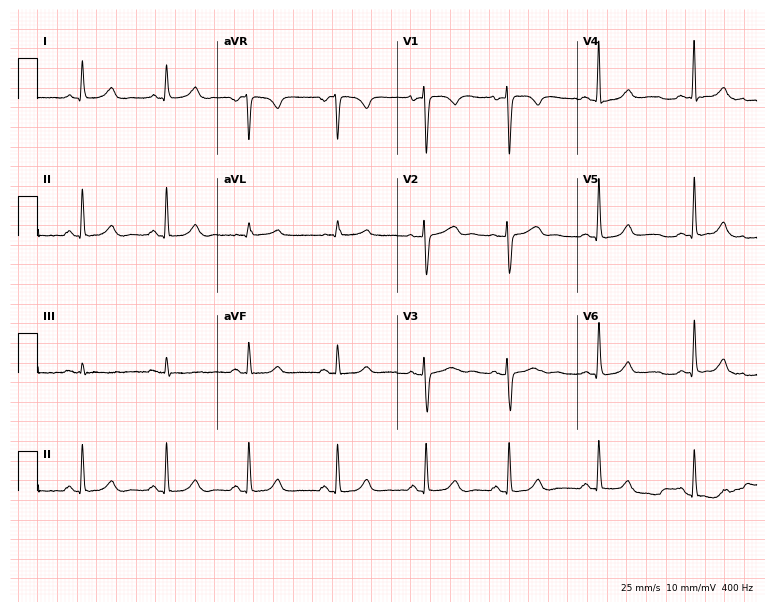
12-lead ECG from a 42-year-old woman. Labelled as a normal ECG.